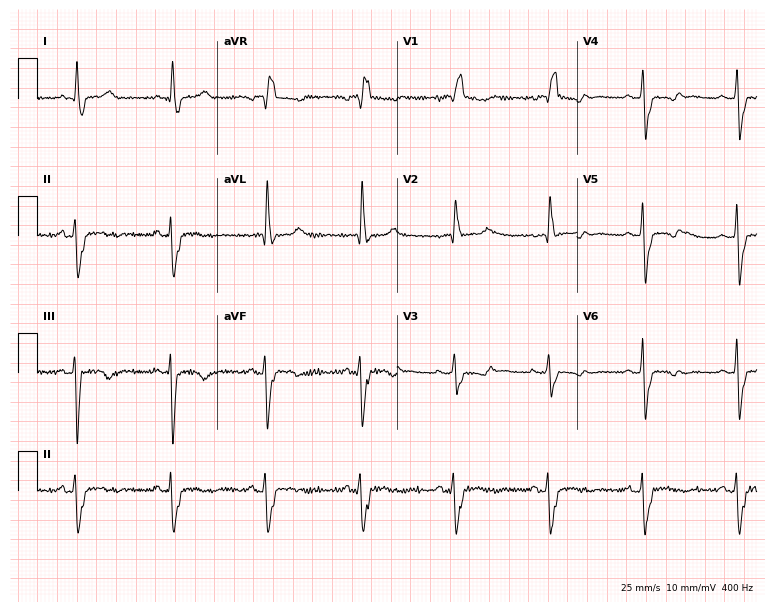
Electrocardiogram (7.3-second recording at 400 Hz), a female patient, 58 years old. Interpretation includes right bundle branch block.